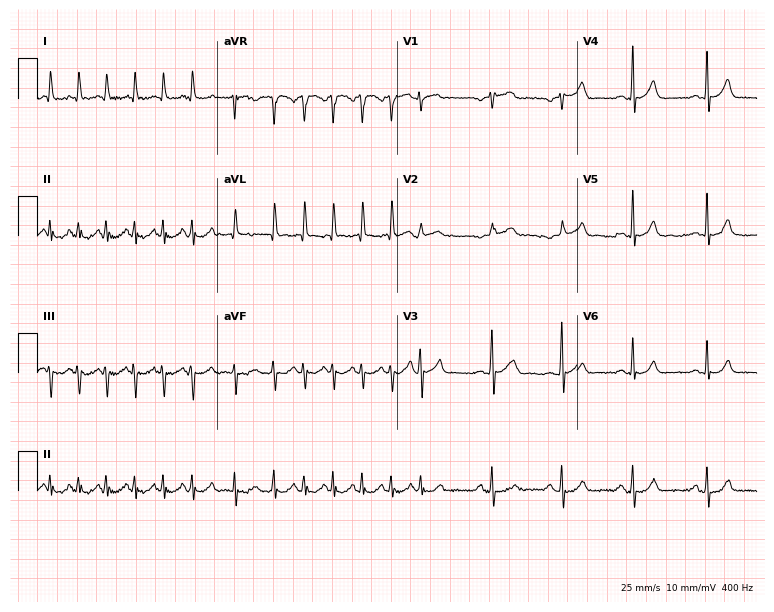
12-lead ECG from a 61-year-old woman (7.3-second recording at 400 Hz). Shows atrial fibrillation.